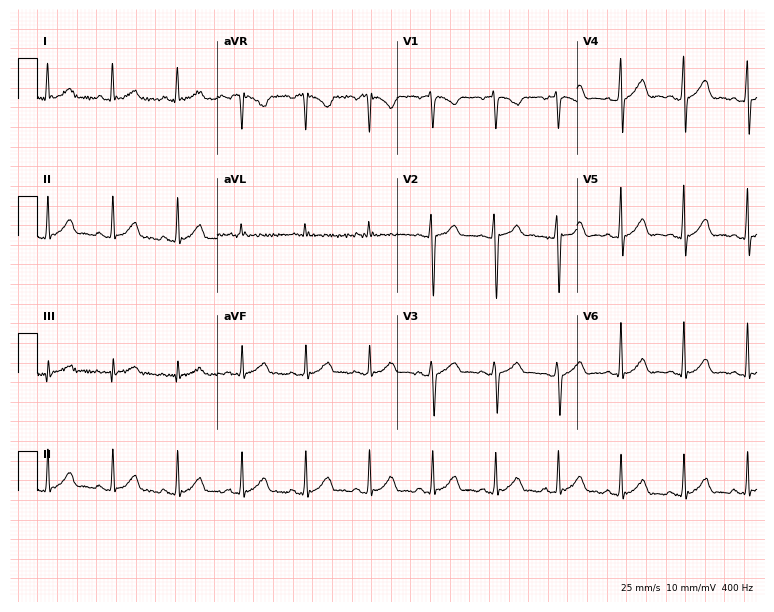
12-lead ECG from a male patient, 30 years old. Recorded interpretation: within normal limits.